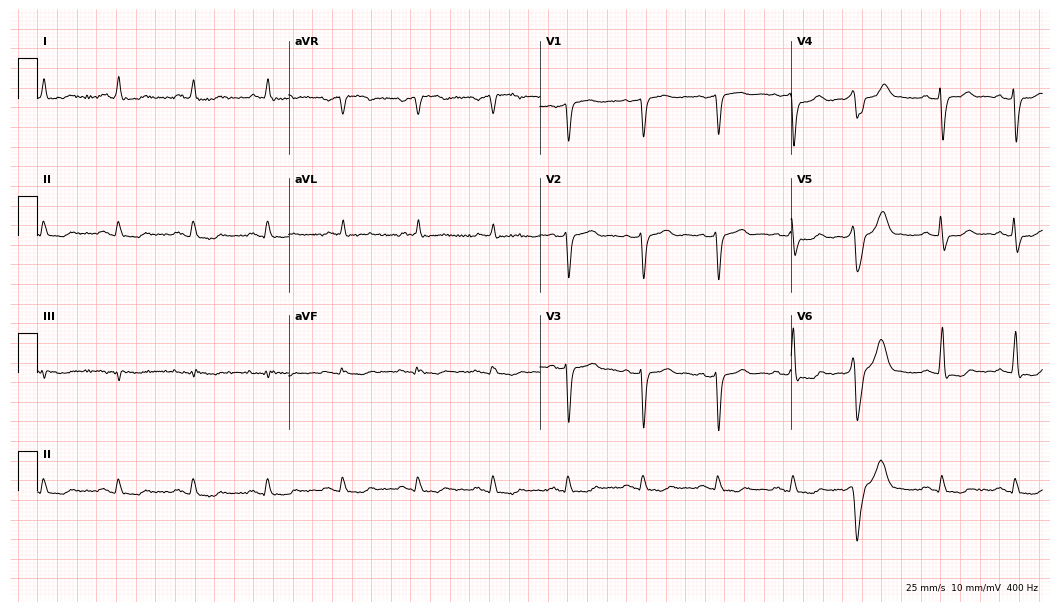
Standard 12-lead ECG recorded from an 82-year-old man. None of these six findings is recorded: first-degree AV block, right bundle branch block, left bundle branch block, sinus bradycardia, atrial fibrillation, sinus tachycardia.